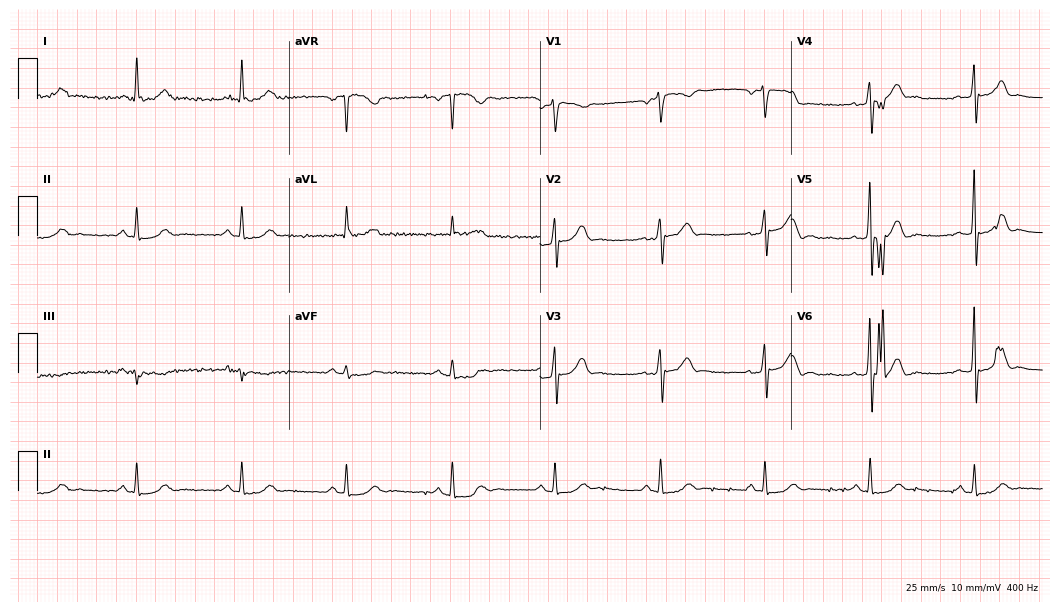
Resting 12-lead electrocardiogram. Patient: a male, 67 years old. Read as a normal ECG.